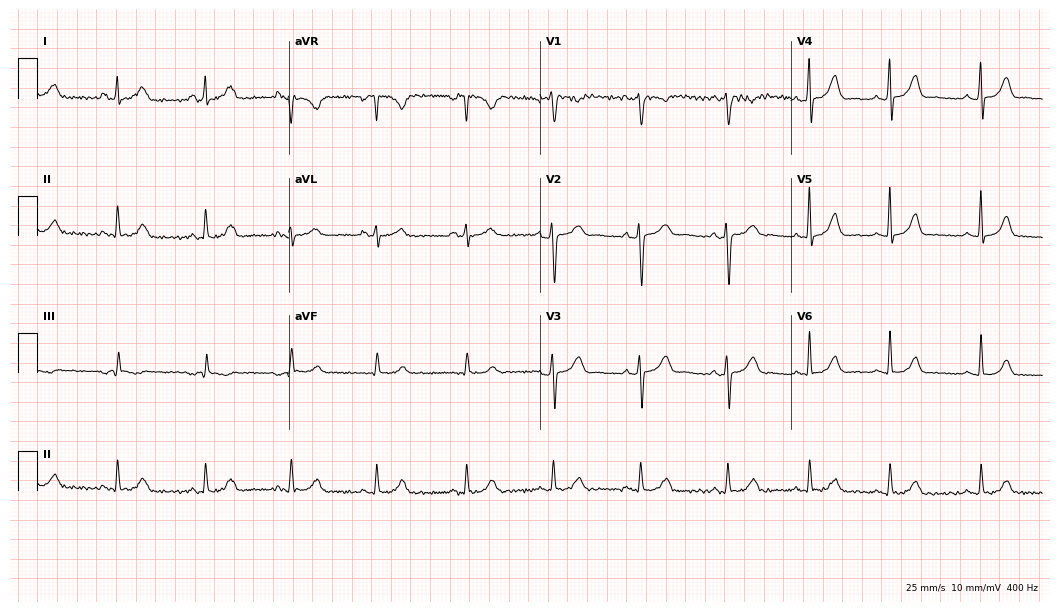
ECG (10.2-second recording at 400 Hz) — a 21-year-old female patient. Labelled as a normal ECG.